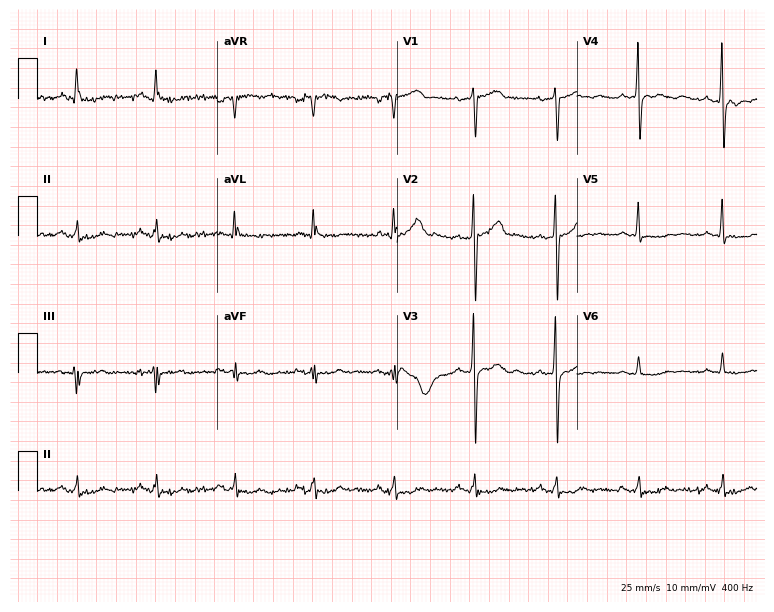
12-lead ECG from a 50-year-old man. Screened for six findings — first-degree AV block, right bundle branch block, left bundle branch block, sinus bradycardia, atrial fibrillation, sinus tachycardia — none is recorded.